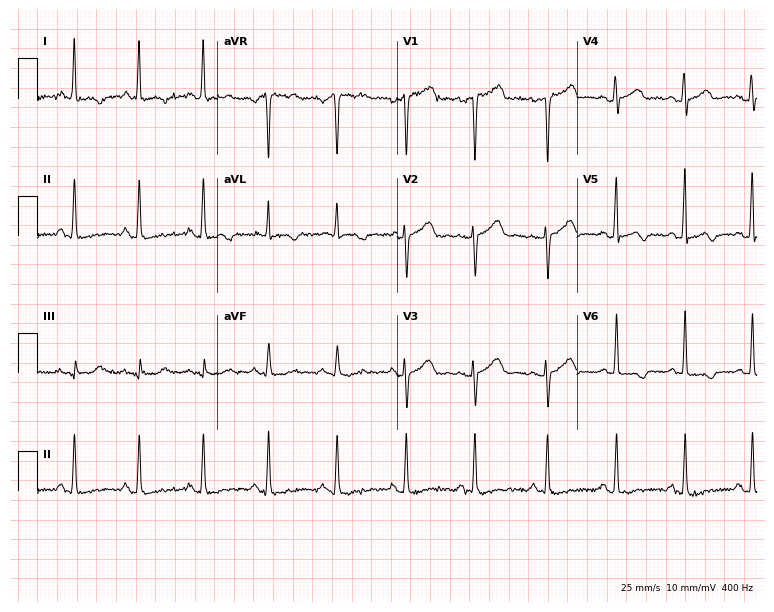
12-lead ECG from a 55-year-old female. Screened for six findings — first-degree AV block, right bundle branch block, left bundle branch block, sinus bradycardia, atrial fibrillation, sinus tachycardia — none is recorded.